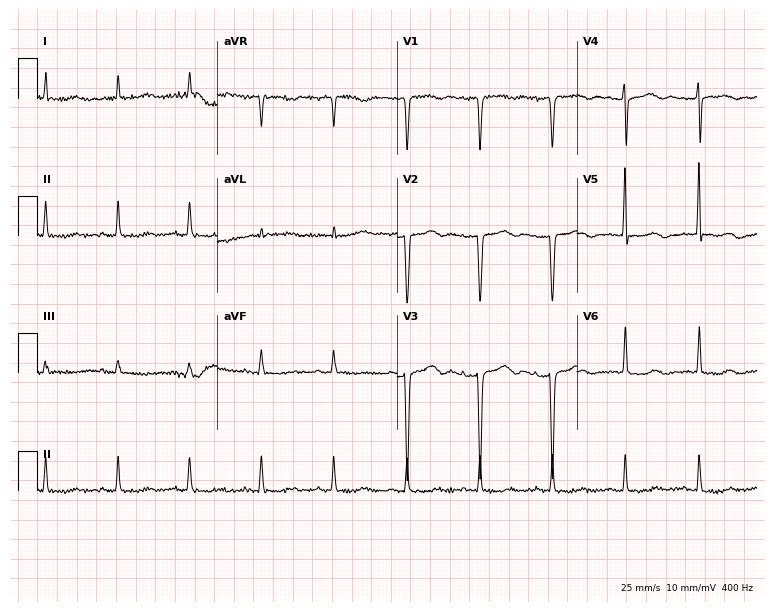
Electrocardiogram, an 82-year-old woman. Of the six screened findings (first-degree AV block, right bundle branch block (RBBB), left bundle branch block (LBBB), sinus bradycardia, atrial fibrillation (AF), sinus tachycardia), none is recorded.